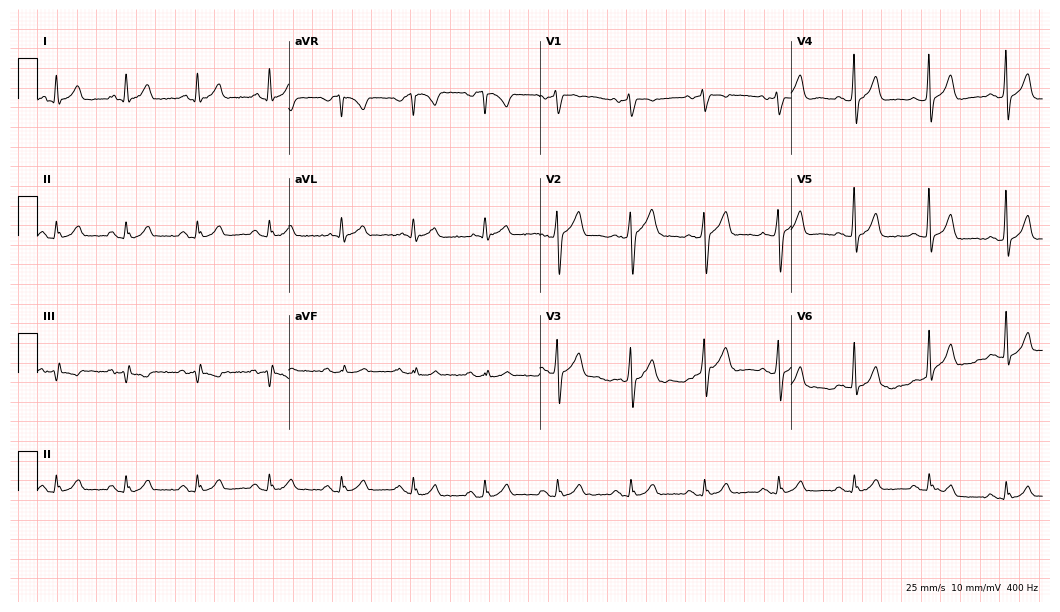
ECG (10.2-second recording at 400 Hz) — a male patient, 43 years old. Labelled as a normal ECG.